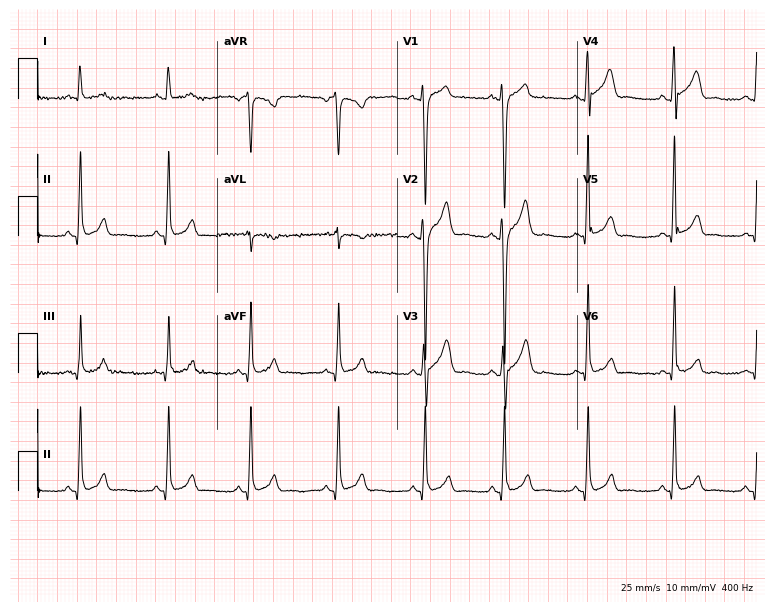
Resting 12-lead electrocardiogram (7.3-second recording at 400 Hz). Patient: a male, 24 years old. Read as a normal ECG.